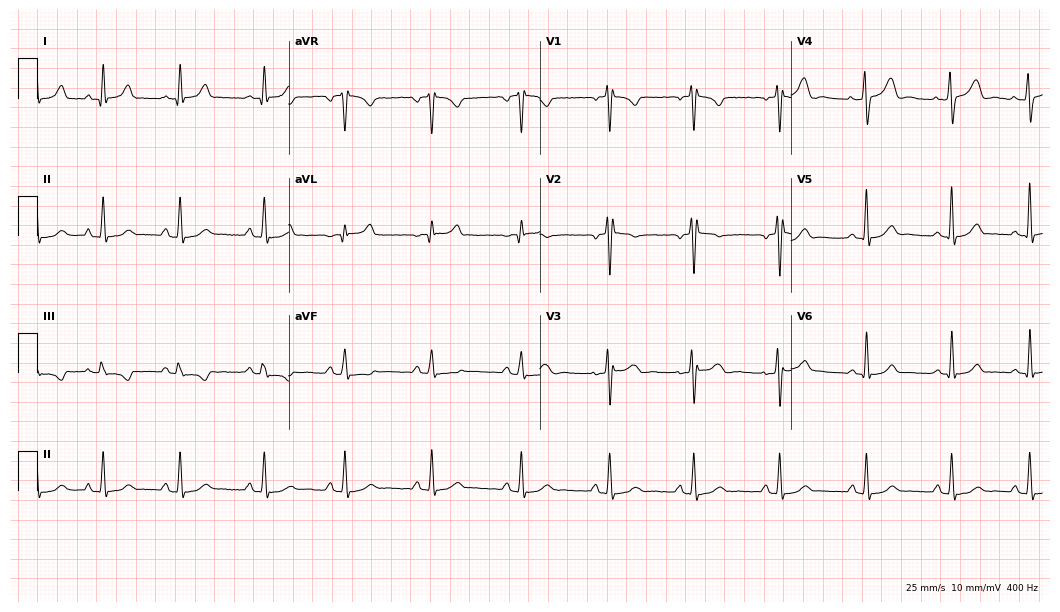
Resting 12-lead electrocardiogram (10.2-second recording at 400 Hz). Patient: a 23-year-old female. Read as a normal ECG.